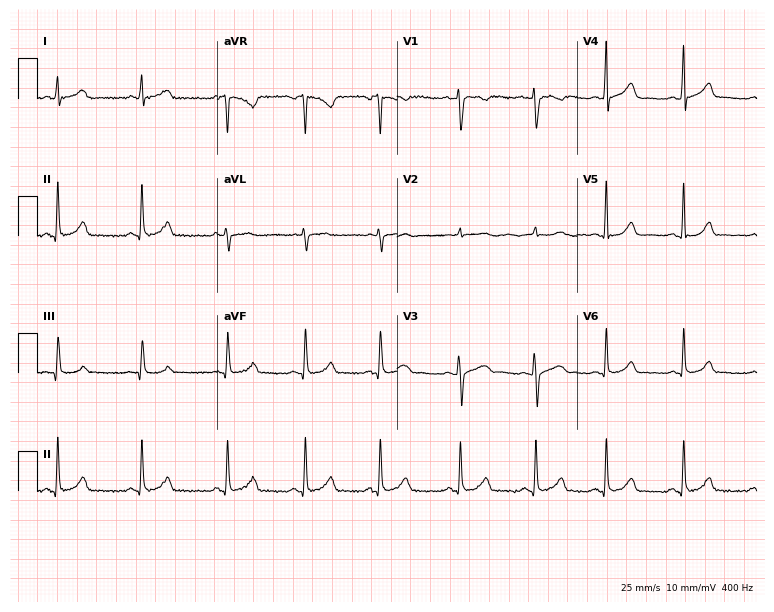
12-lead ECG from a woman, 30 years old. Labelled as a normal ECG.